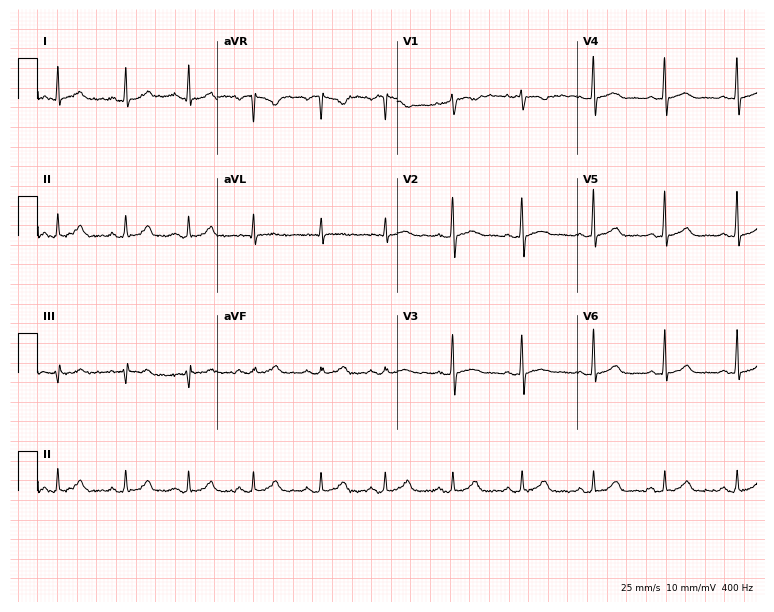
12-lead ECG from a woman, 33 years old. No first-degree AV block, right bundle branch block (RBBB), left bundle branch block (LBBB), sinus bradycardia, atrial fibrillation (AF) or sinus tachycardia recorded for this tracing.